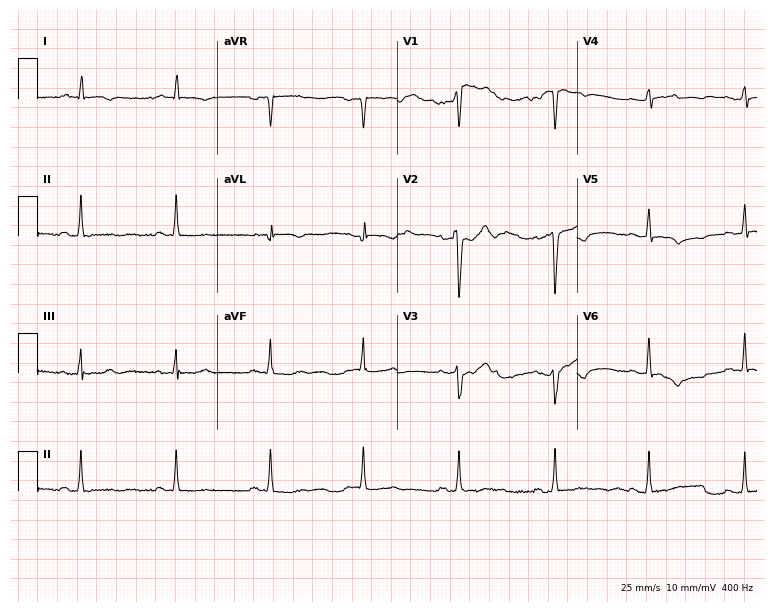
Standard 12-lead ECG recorded from a 61-year-old man. None of these six findings is recorded: first-degree AV block, right bundle branch block, left bundle branch block, sinus bradycardia, atrial fibrillation, sinus tachycardia.